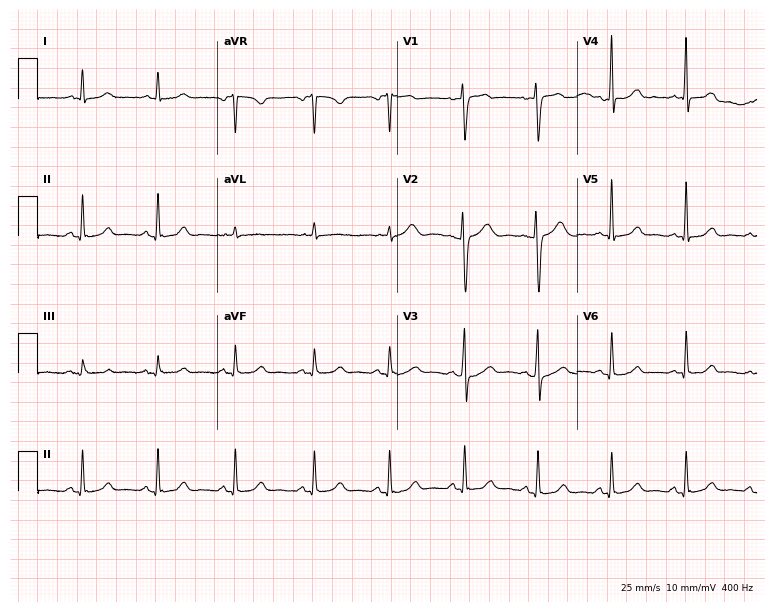
Standard 12-lead ECG recorded from a 34-year-old woman. Read as a normal ECG.